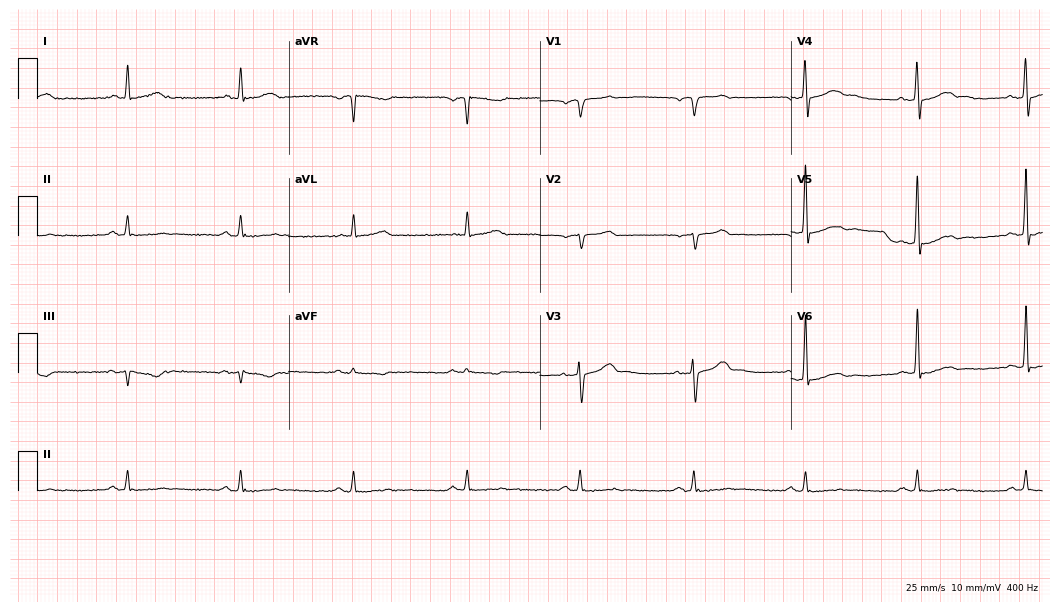
Standard 12-lead ECG recorded from a male patient, 67 years old. None of these six findings is recorded: first-degree AV block, right bundle branch block, left bundle branch block, sinus bradycardia, atrial fibrillation, sinus tachycardia. Other findings, if any, are not listed.